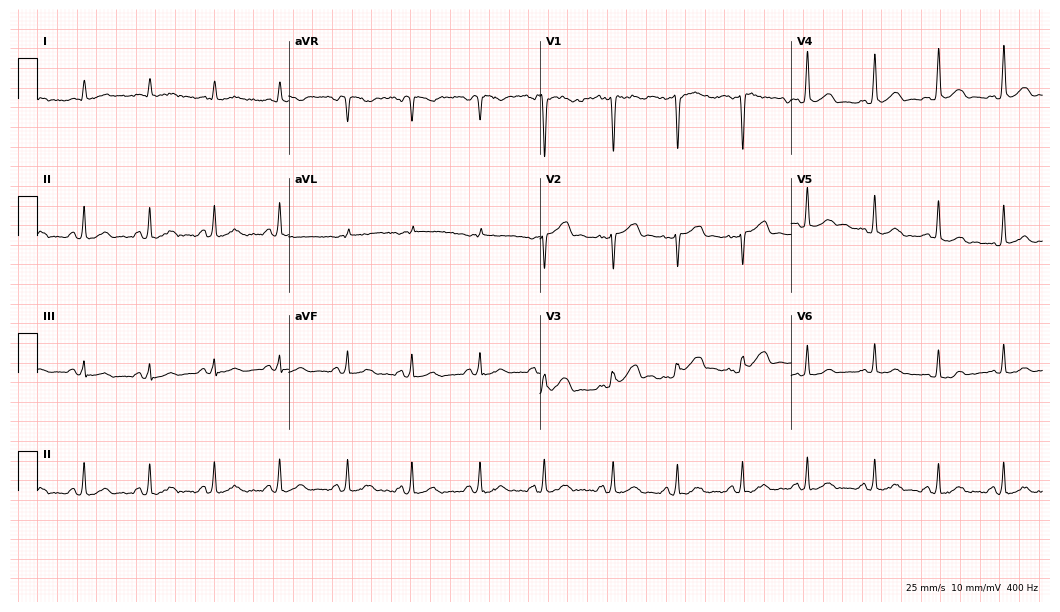
Standard 12-lead ECG recorded from a 49-year-old male. Read as a normal ECG.